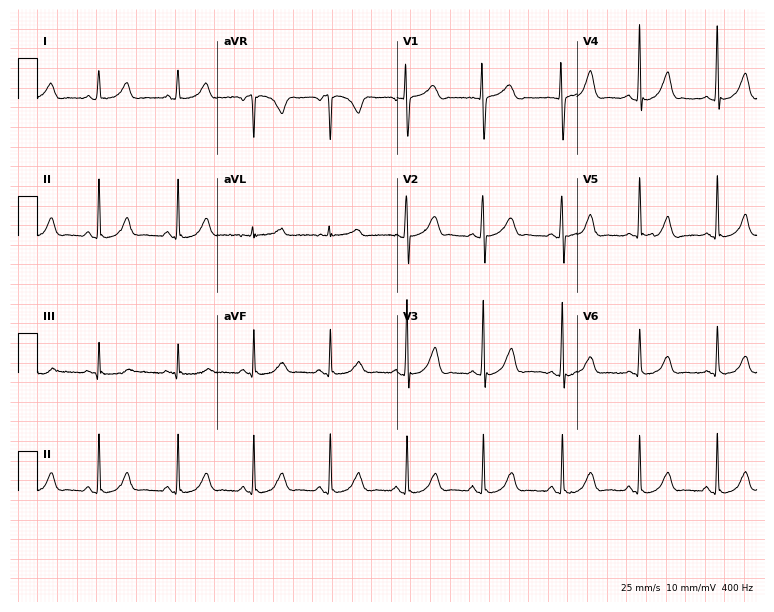
12-lead ECG from a 23-year-old female patient. Recorded interpretation: within normal limits.